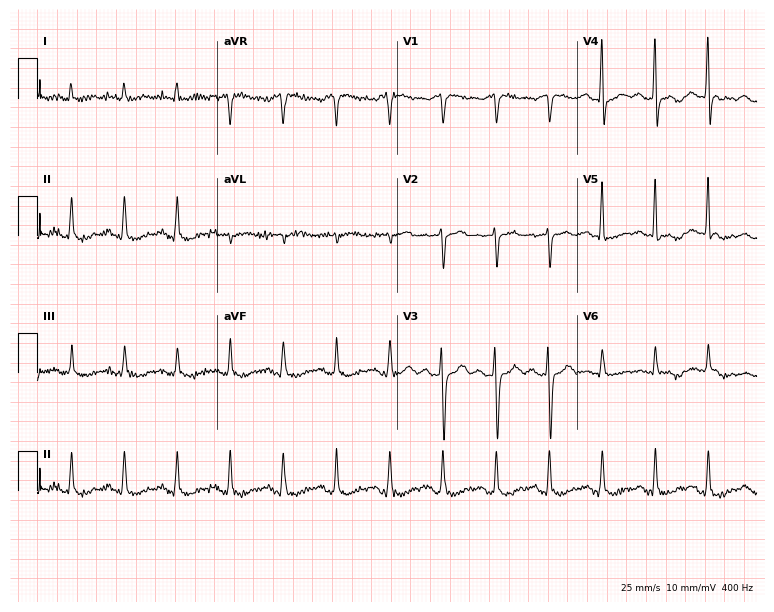
Standard 12-lead ECG recorded from a 62-year-old male (7.3-second recording at 400 Hz). The tracing shows sinus tachycardia (a sinus rate of 100 beats per minute or more).